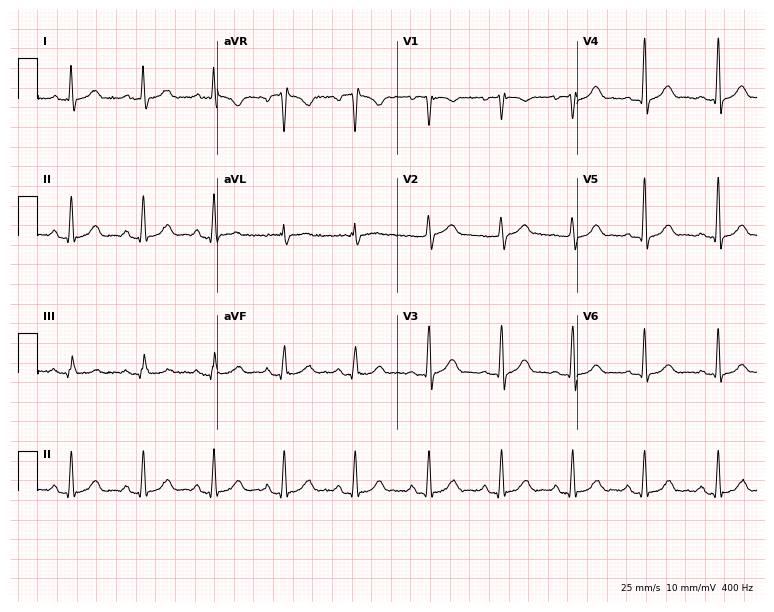
12-lead ECG from a female, 55 years old (7.3-second recording at 400 Hz). Recorded interpretation: within normal limits.